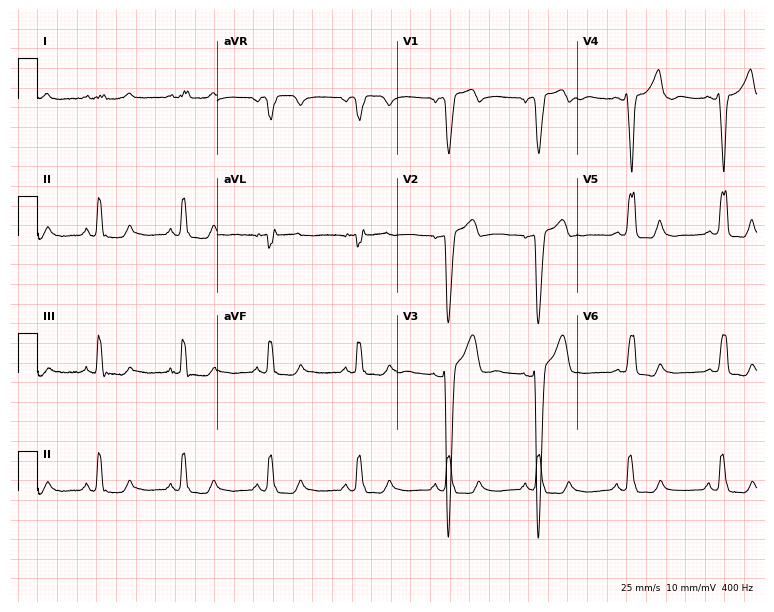
ECG (7.3-second recording at 400 Hz) — a male patient, 63 years old. Findings include left bundle branch block.